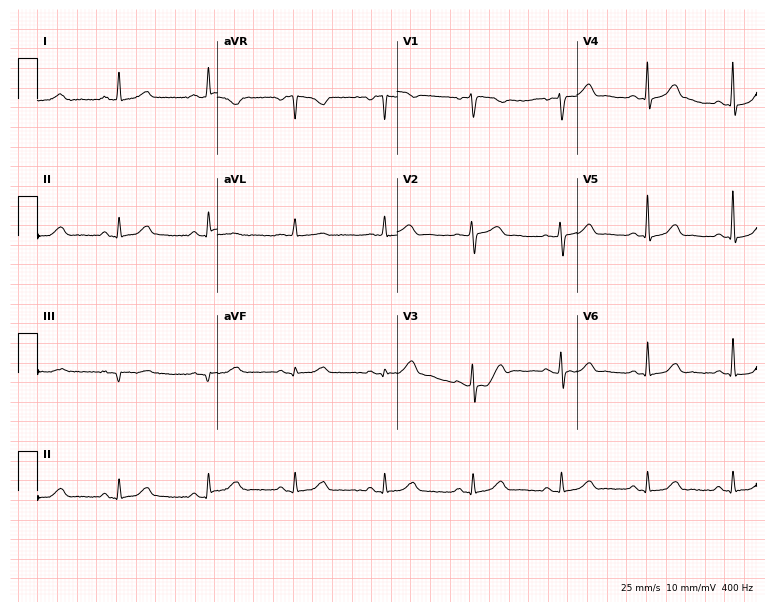
Electrocardiogram (7.3-second recording at 400 Hz), a 67-year-old female patient. Of the six screened findings (first-degree AV block, right bundle branch block, left bundle branch block, sinus bradycardia, atrial fibrillation, sinus tachycardia), none is recorded.